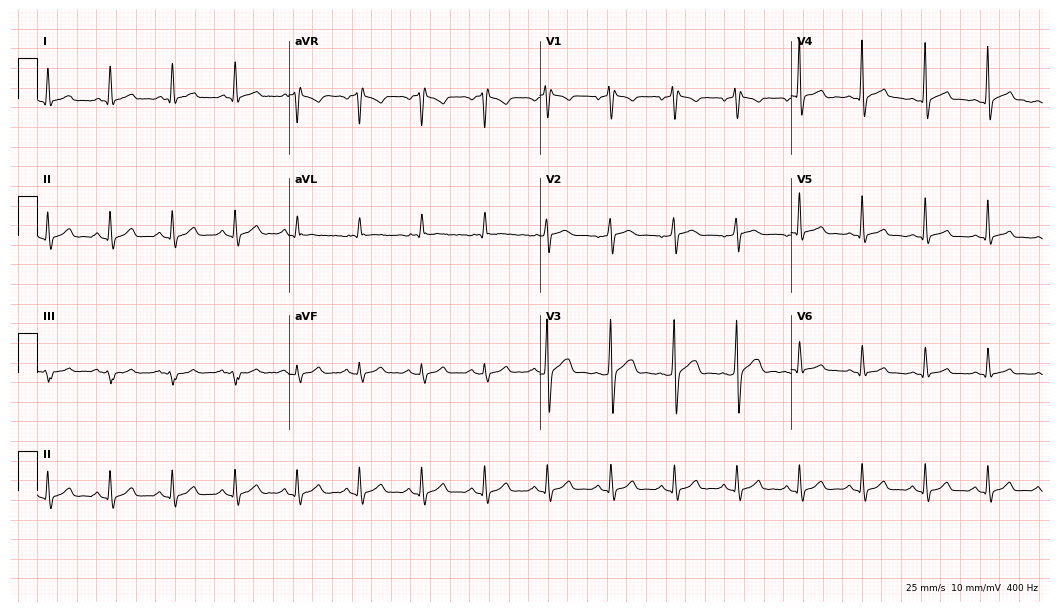
ECG — a 59-year-old man. Labelled as a normal ECG.